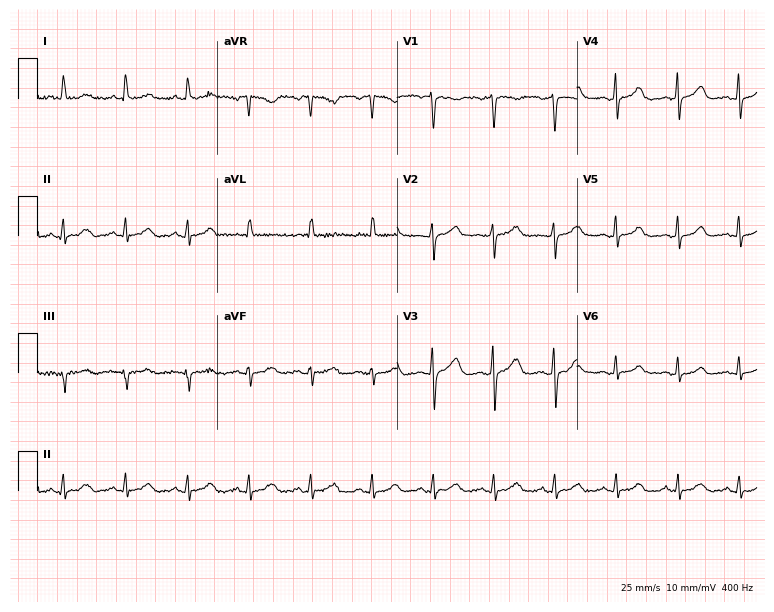
Resting 12-lead electrocardiogram. Patient: a 35-year-old female. Read as a normal ECG.